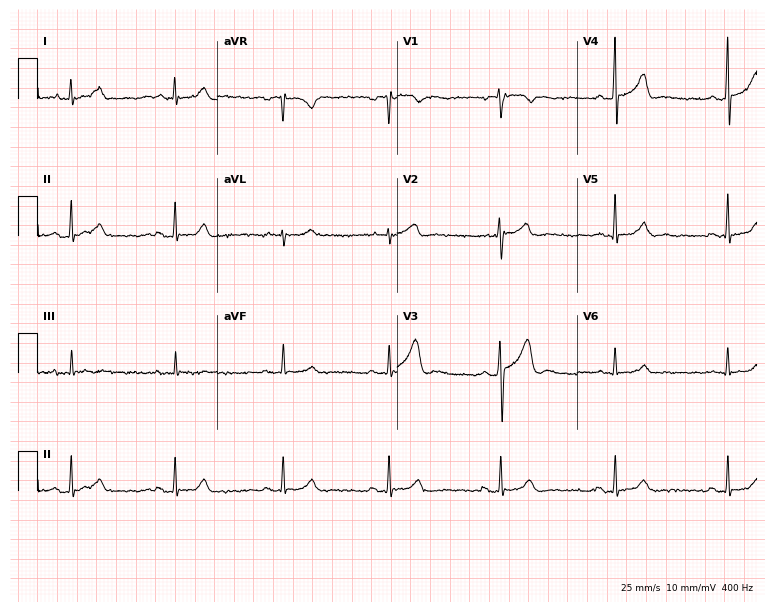
ECG — a 31-year-old man. Labelled as a normal ECG.